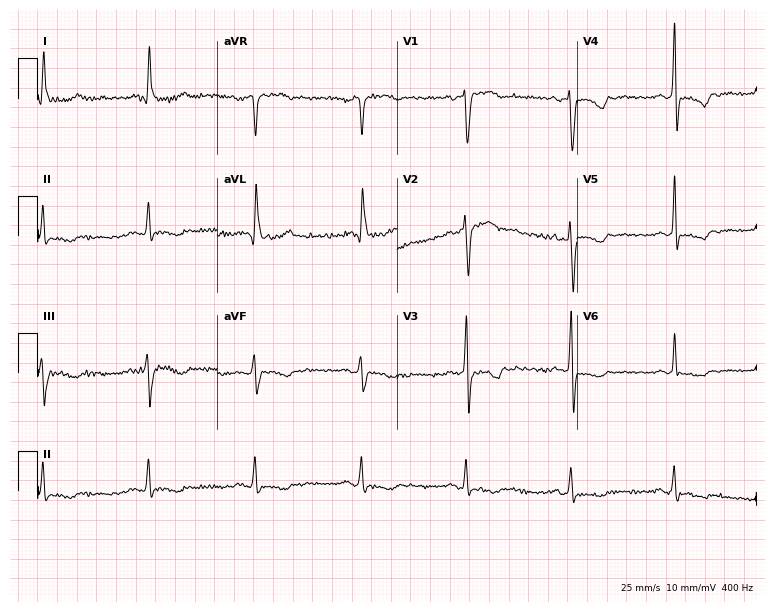
12-lead ECG from a 55-year-old female. No first-degree AV block, right bundle branch block, left bundle branch block, sinus bradycardia, atrial fibrillation or sinus tachycardia recorded for this tracing. Findings outside these six are not listed.